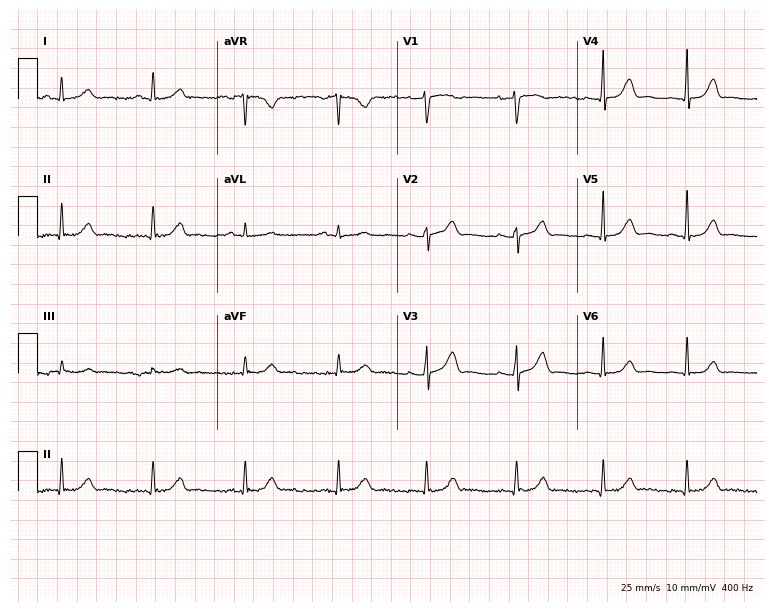
Resting 12-lead electrocardiogram (7.3-second recording at 400 Hz). Patient: a female, 44 years old. Read as a normal ECG.